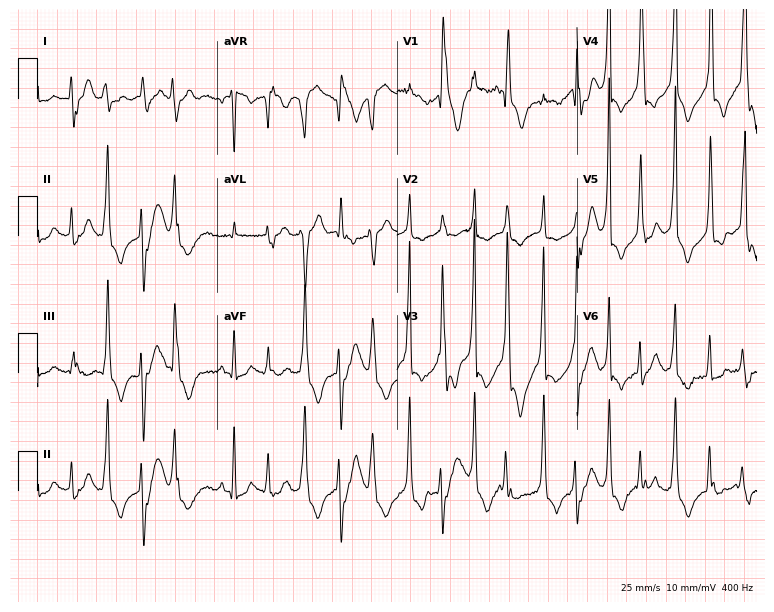
ECG — a female, 18 years old. Screened for six findings — first-degree AV block, right bundle branch block, left bundle branch block, sinus bradycardia, atrial fibrillation, sinus tachycardia — none is recorded. Other findings, if any, are not listed.